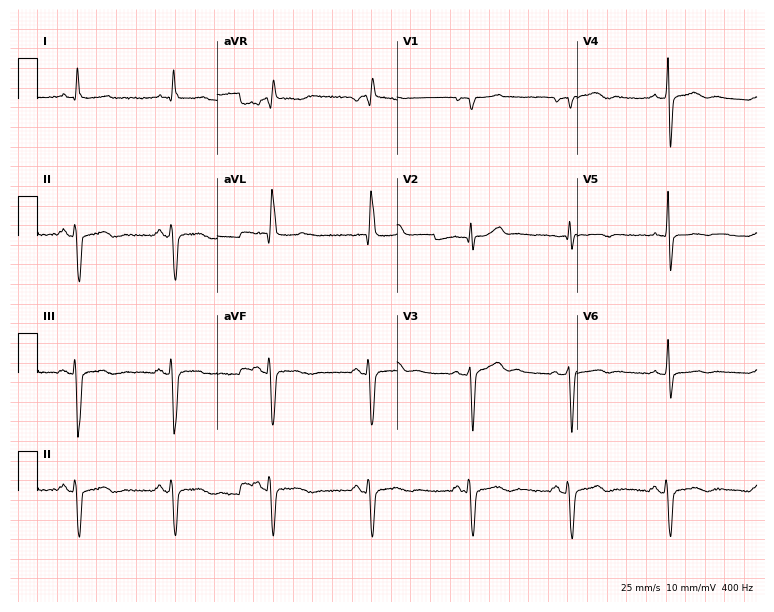
Standard 12-lead ECG recorded from a 64-year-old male. None of these six findings is recorded: first-degree AV block, right bundle branch block, left bundle branch block, sinus bradycardia, atrial fibrillation, sinus tachycardia. Other findings, if any, are not listed.